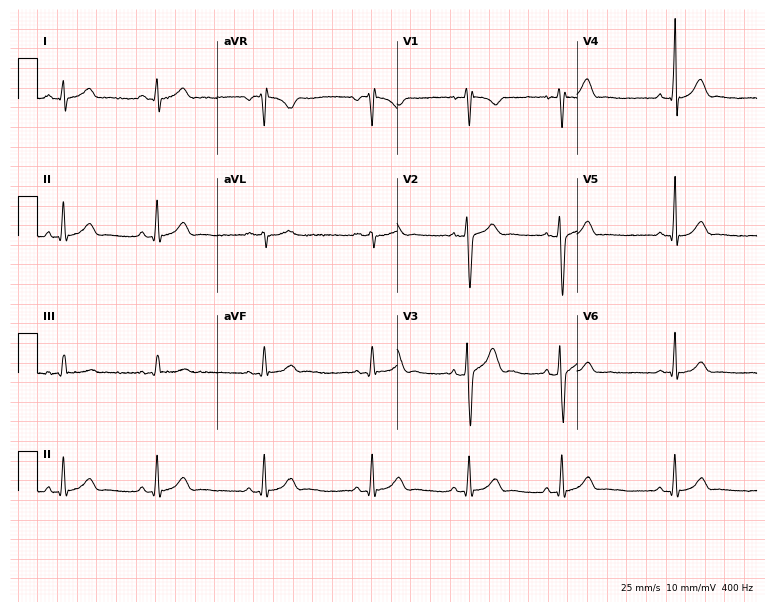
12-lead ECG from a 21-year-old male (7.3-second recording at 400 Hz). Recorded interpretation: within normal limits.